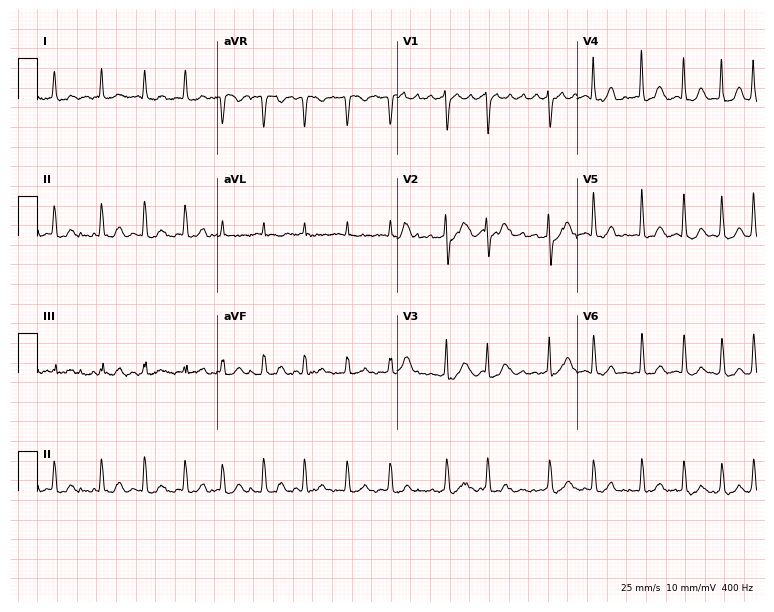
Electrocardiogram (7.3-second recording at 400 Hz), a female patient, 81 years old. Interpretation includes atrial fibrillation (AF).